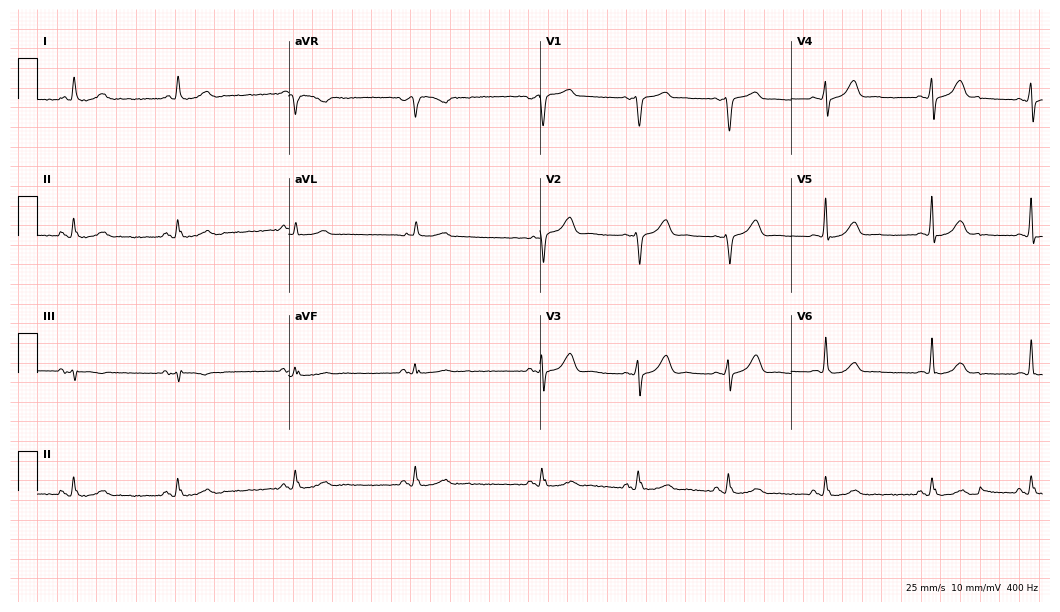
Standard 12-lead ECG recorded from a 37-year-old female patient (10.2-second recording at 400 Hz). Read as a normal ECG.